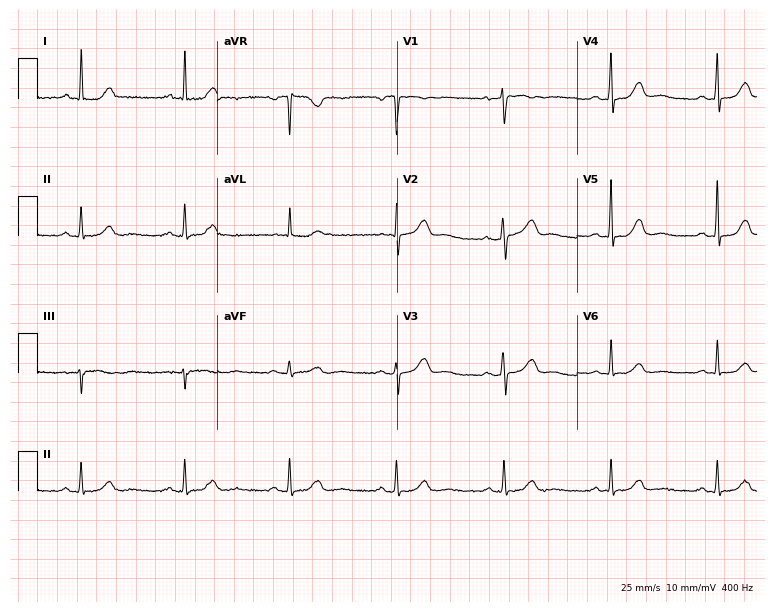
12-lead ECG from a female, 63 years old. Recorded interpretation: within normal limits.